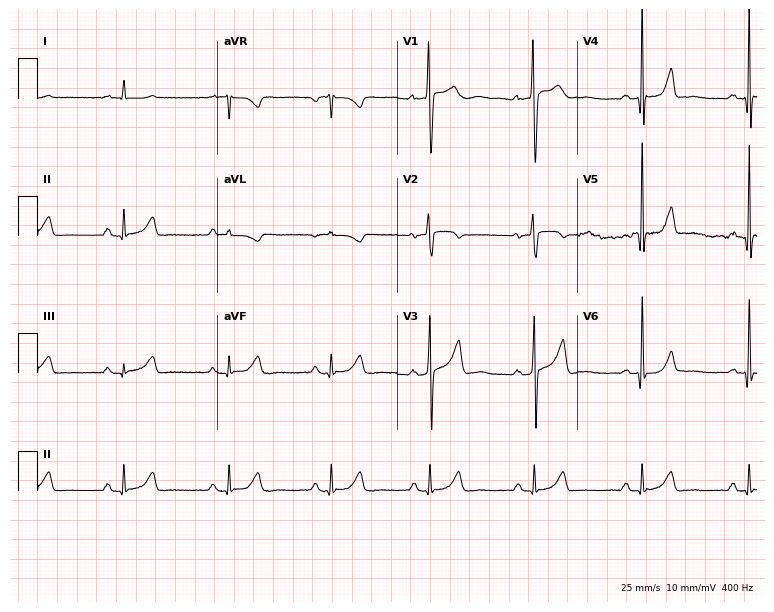
Resting 12-lead electrocardiogram (7.3-second recording at 400 Hz). Patient: a 49-year-old man. Read as a normal ECG.